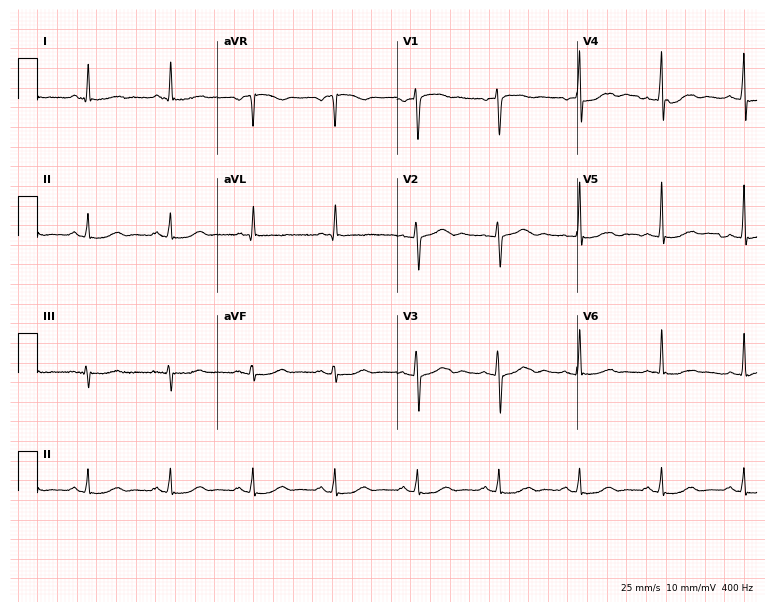
12-lead ECG from a 58-year-old female patient. Recorded interpretation: within normal limits.